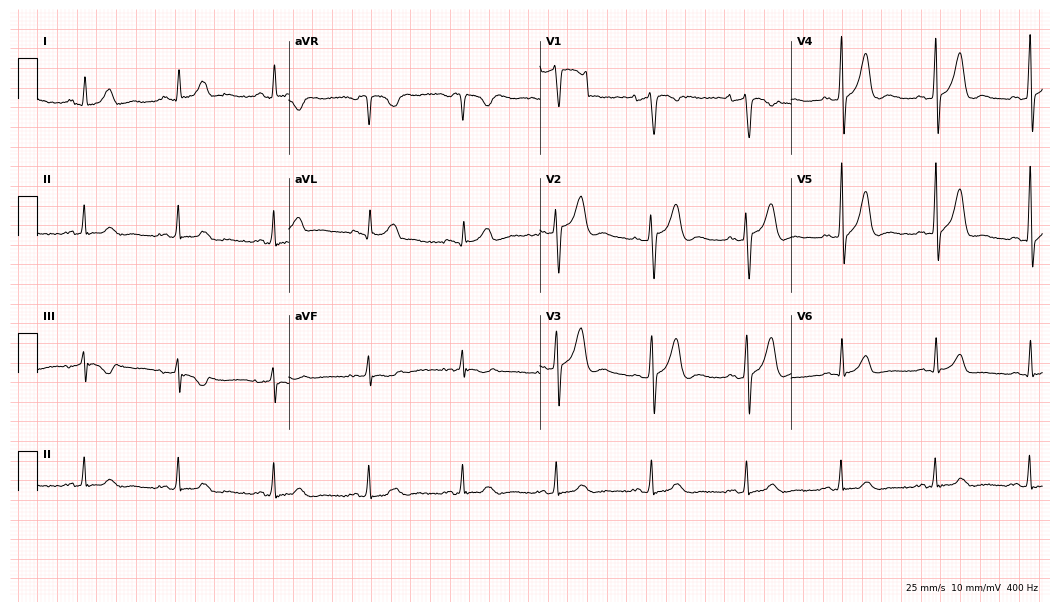
Resting 12-lead electrocardiogram (10.2-second recording at 400 Hz). Patient: a male, 62 years old. Read as a normal ECG.